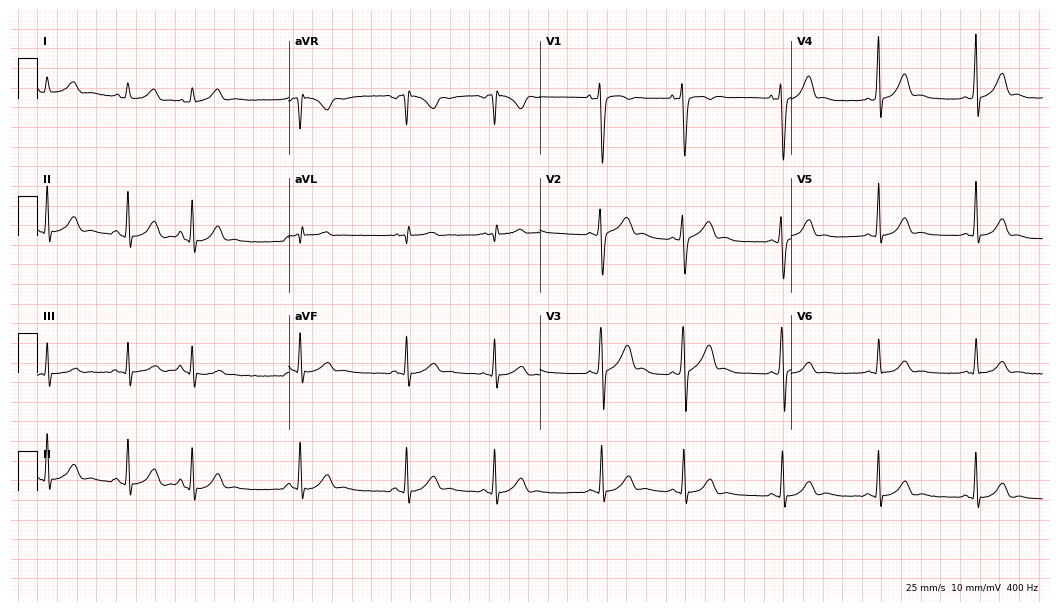
Resting 12-lead electrocardiogram. Patient: a 17-year-old man. Read as a normal ECG.